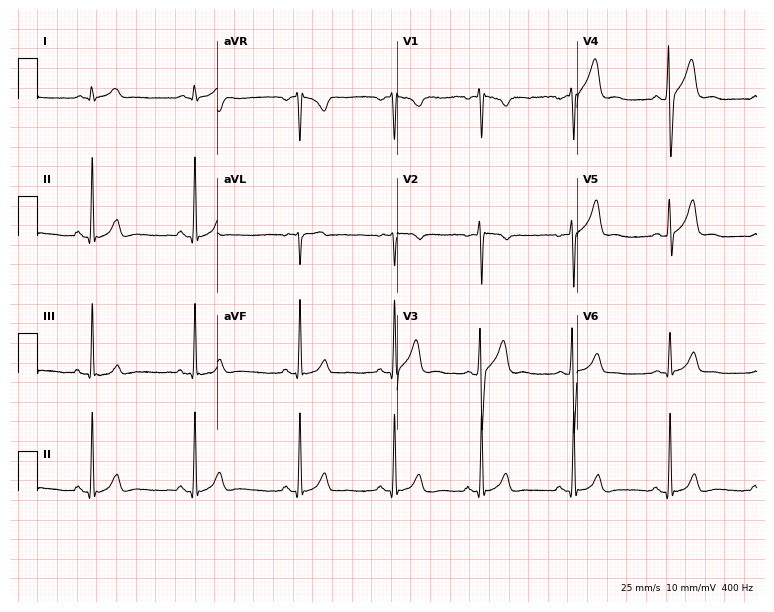
Electrocardiogram, a man, 27 years old. Overall reading on record: normal ECG.